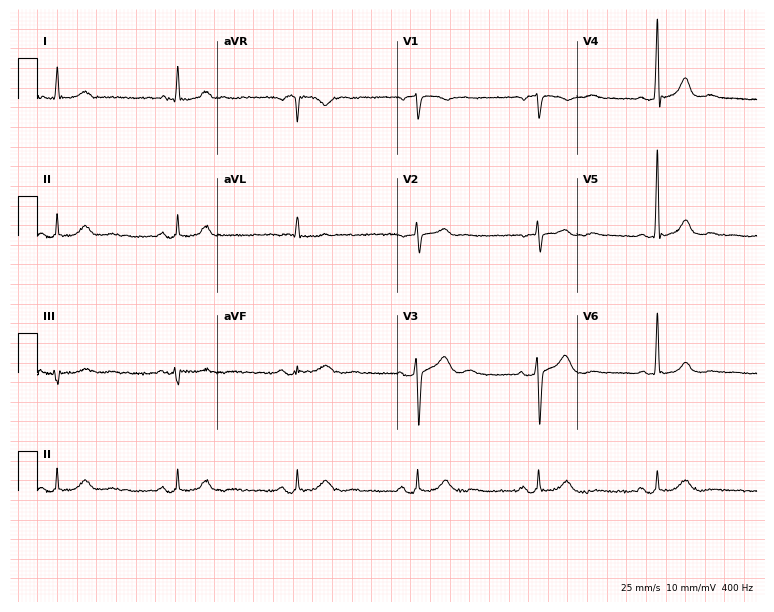
Resting 12-lead electrocardiogram. Patient: a 78-year-old male. The tracing shows sinus bradycardia (a sinus rate of 50 beats per minute or less).